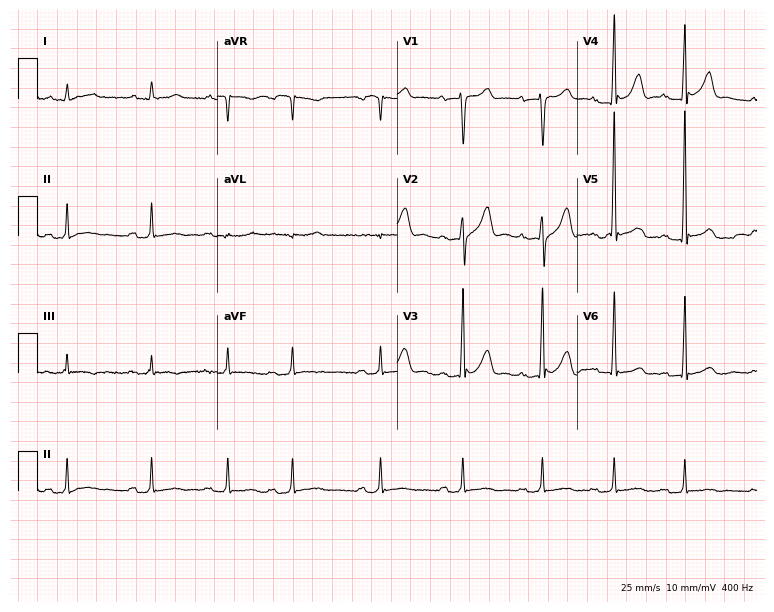
Standard 12-lead ECG recorded from a 53-year-old male. None of these six findings is recorded: first-degree AV block, right bundle branch block, left bundle branch block, sinus bradycardia, atrial fibrillation, sinus tachycardia. Only these six findings were labelled.